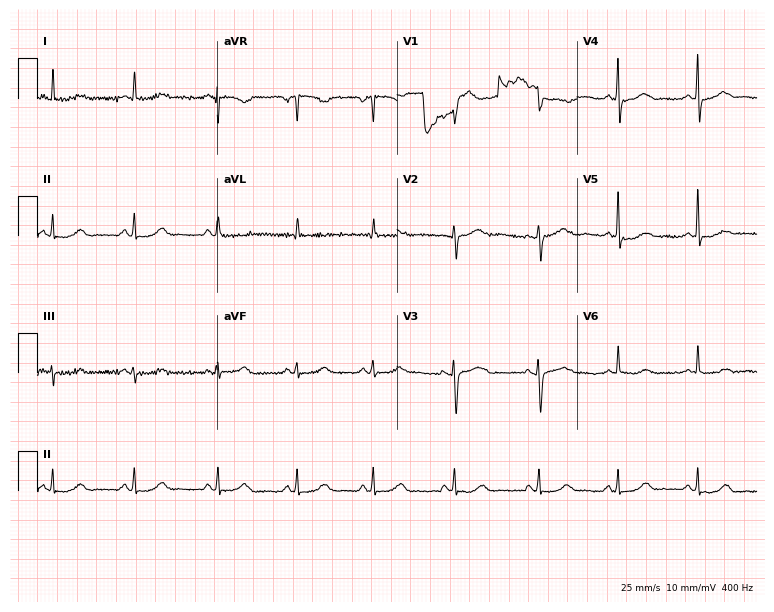
ECG (7.3-second recording at 400 Hz) — a female, 62 years old. Labelled as a normal ECG.